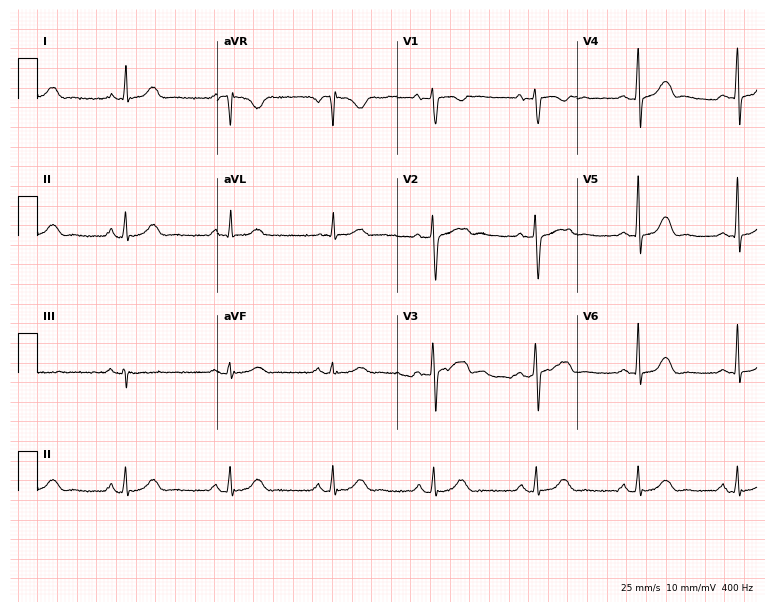
Standard 12-lead ECG recorded from a 66-year-old female patient. Read as a normal ECG.